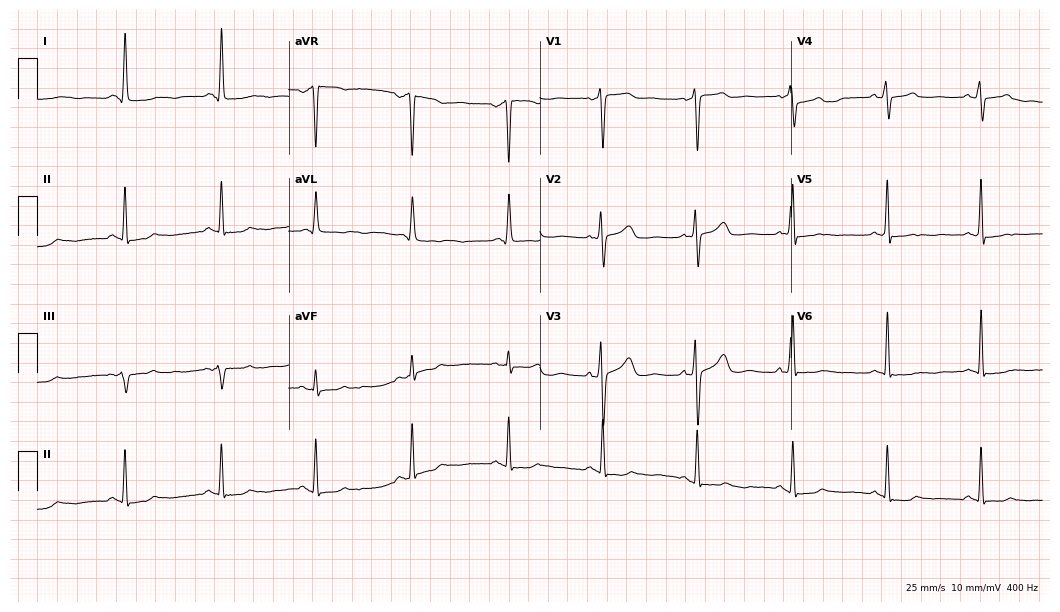
12-lead ECG from a 66-year-old woman (10.2-second recording at 400 Hz). No first-degree AV block, right bundle branch block (RBBB), left bundle branch block (LBBB), sinus bradycardia, atrial fibrillation (AF) or sinus tachycardia recorded for this tracing. Only these six findings were labelled.